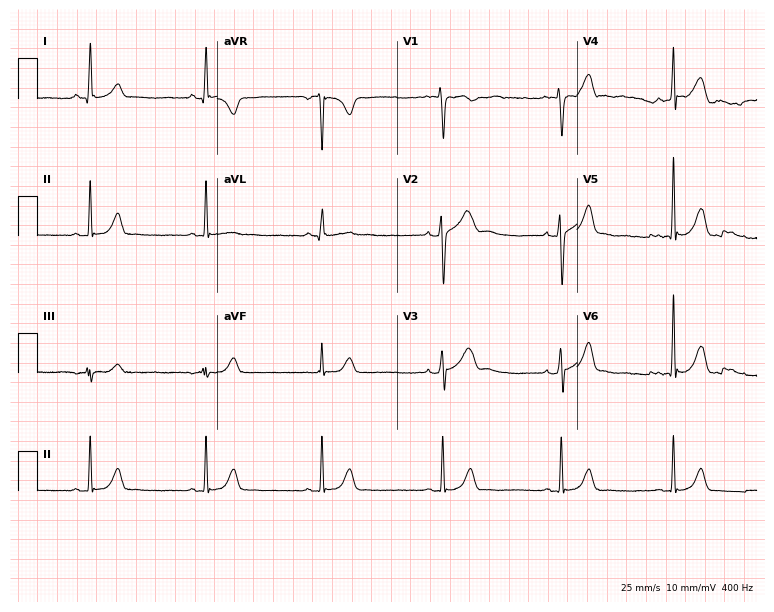
ECG — a man, 27 years old. Screened for six findings — first-degree AV block, right bundle branch block (RBBB), left bundle branch block (LBBB), sinus bradycardia, atrial fibrillation (AF), sinus tachycardia — none is recorded.